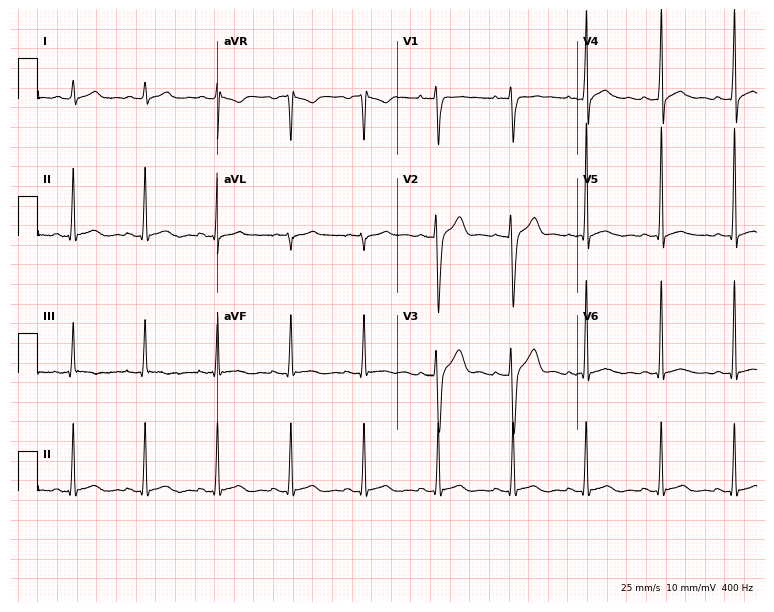
ECG — a 28-year-old male. Screened for six findings — first-degree AV block, right bundle branch block, left bundle branch block, sinus bradycardia, atrial fibrillation, sinus tachycardia — none is recorded. Only these six findings were labelled.